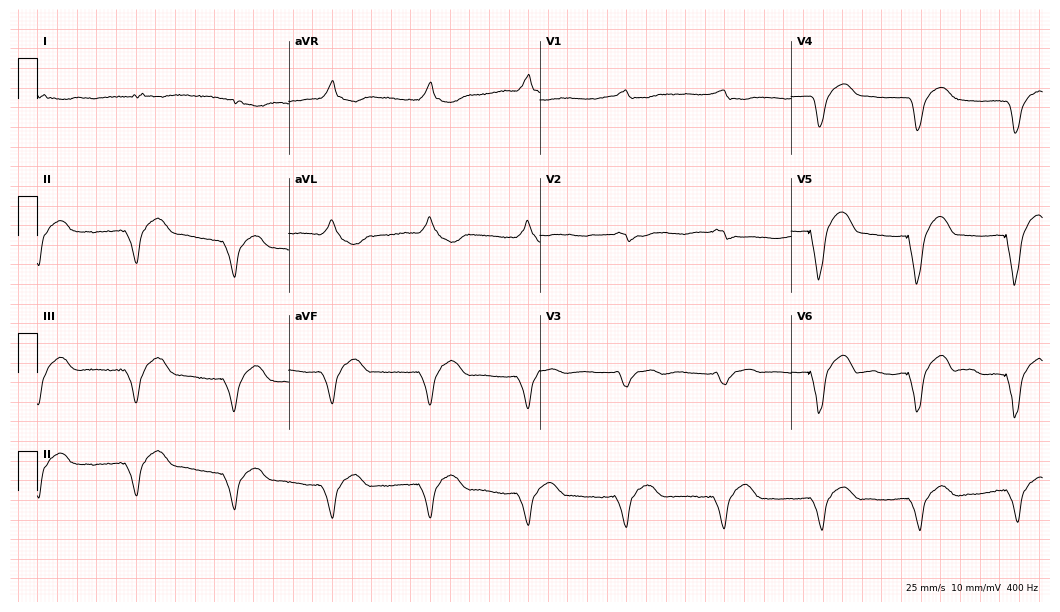
ECG — a 76-year-old female patient. Screened for six findings — first-degree AV block, right bundle branch block (RBBB), left bundle branch block (LBBB), sinus bradycardia, atrial fibrillation (AF), sinus tachycardia — none is recorded. Other findings, if any, are not listed.